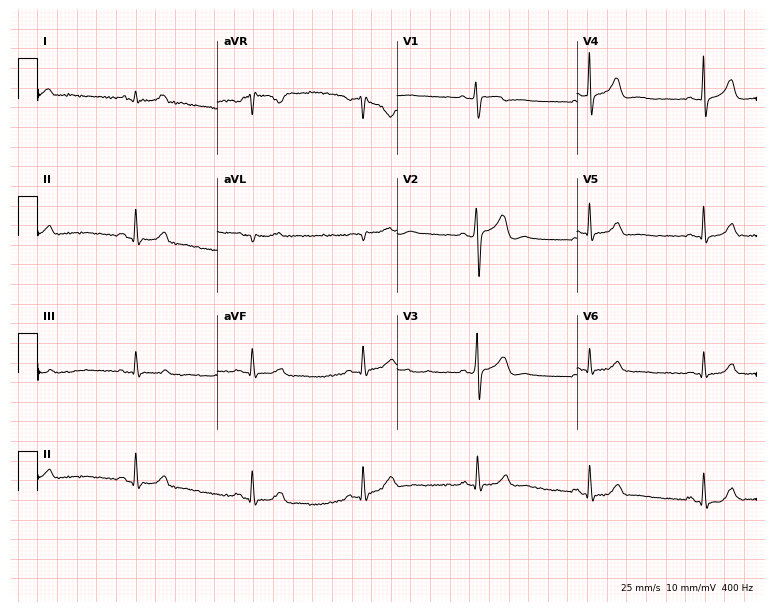
12-lead ECG from a male, 40 years old (7.3-second recording at 400 Hz). No first-degree AV block, right bundle branch block, left bundle branch block, sinus bradycardia, atrial fibrillation or sinus tachycardia recorded for this tracing. Other findings, if any, are not listed.